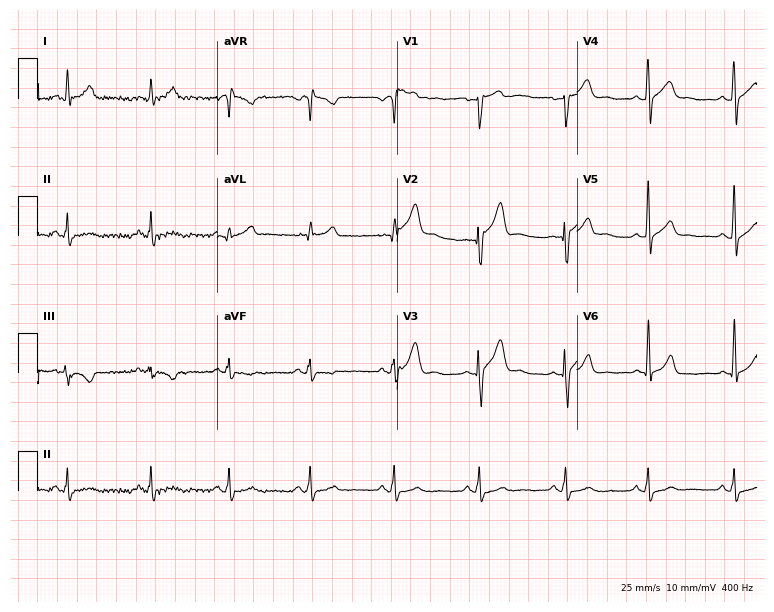
12-lead ECG from a male, 35 years old. No first-degree AV block, right bundle branch block, left bundle branch block, sinus bradycardia, atrial fibrillation or sinus tachycardia recorded for this tracing. Only these six findings were labelled.